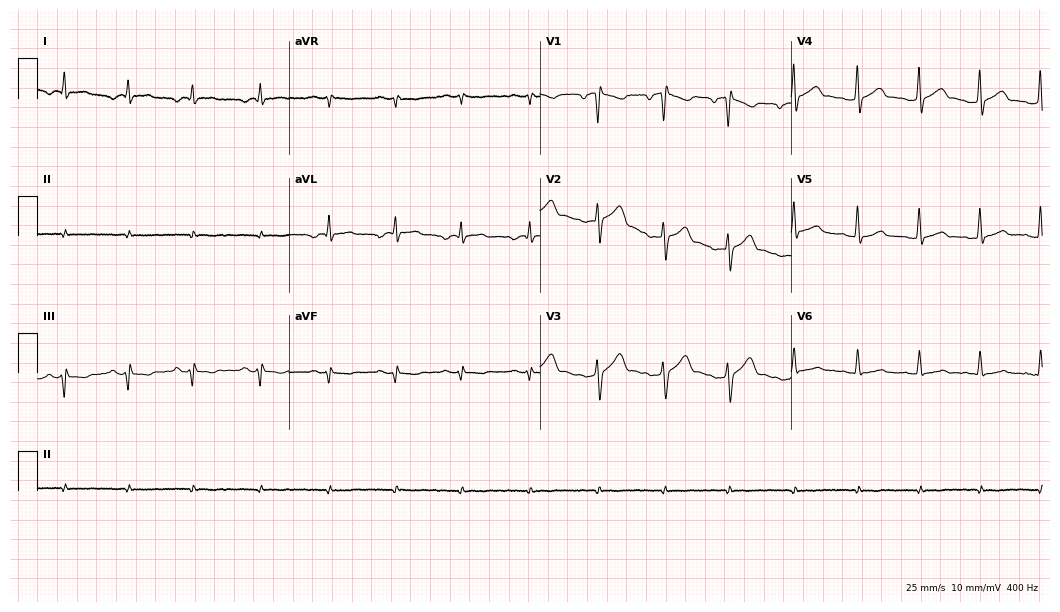
12-lead ECG from a 33-year-old male. Screened for six findings — first-degree AV block, right bundle branch block, left bundle branch block, sinus bradycardia, atrial fibrillation, sinus tachycardia — none is recorded.